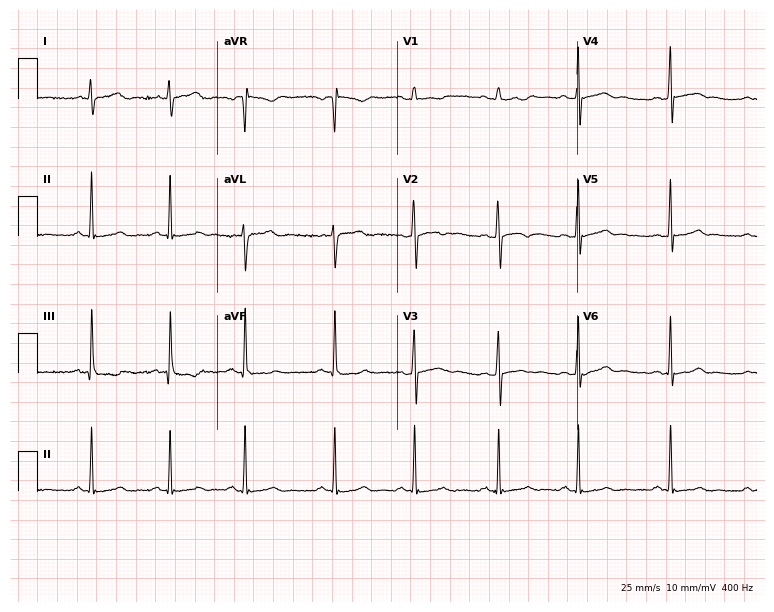
Resting 12-lead electrocardiogram. Patient: a 17-year-old woman. None of these six findings is recorded: first-degree AV block, right bundle branch block (RBBB), left bundle branch block (LBBB), sinus bradycardia, atrial fibrillation (AF), sinus tachycardia.